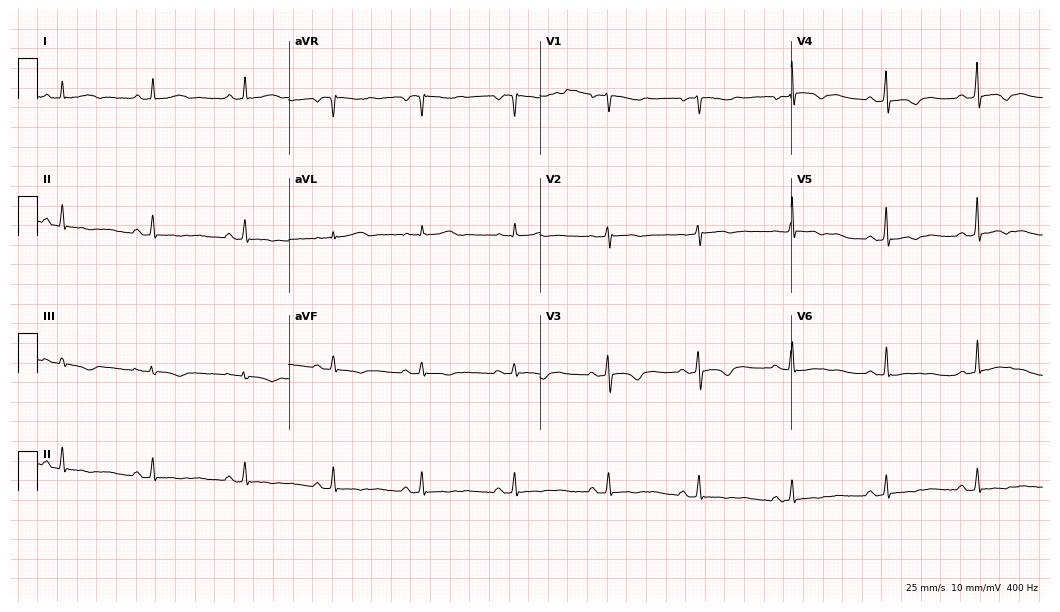
12-lead ECG from a 45-year-old female. Screened for six findings — first-degree AV block, right bundle branch block, left bundle branch block, sinus bradycardia, atrial fibrillation, sinus tachycardia — none is recorded.